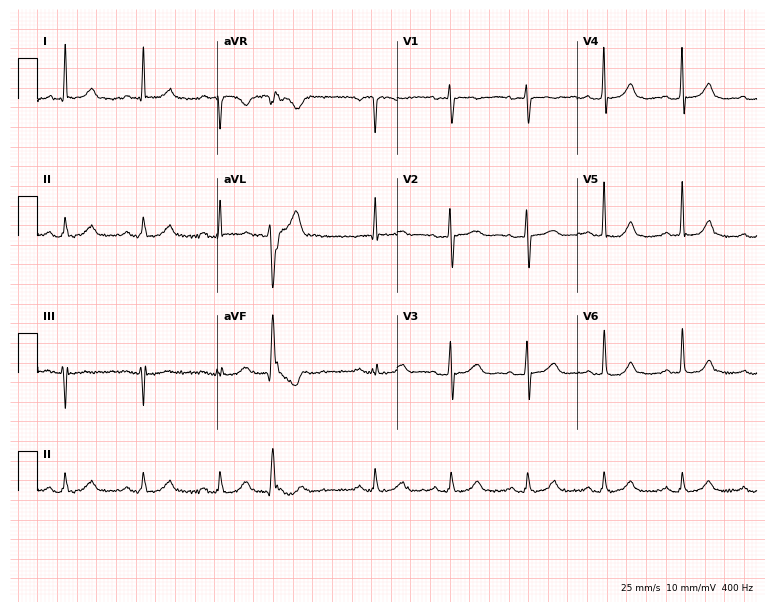
12-lead ECG from an 83-year-old female. No first-degree AV block, right bundle branch block (RBBB), left bundle branch block (LBBB), sinus bradycardia, atrial fibrillation (AF) or sinus tachycardia recorded for this tracing. Other findings, if any, are not listed.